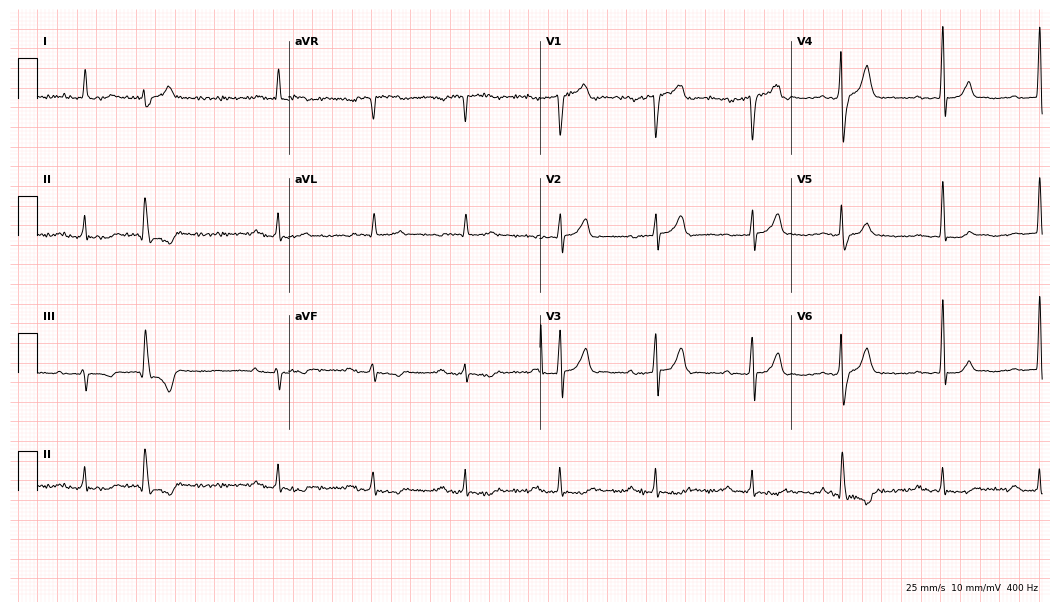
Standard 12-lead ECG recorded from a 75-year-old male patient (10.2-second recording at 400 Hz). The tracing shows first-degree AV block.